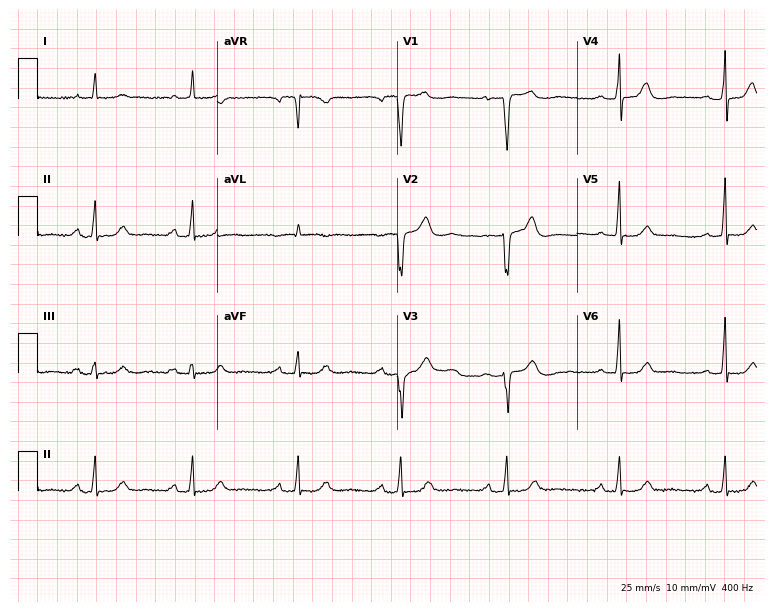
Electrocardiogram (7.3-second recording at 400 Hz), a 64-year-old female. Of the six screened findings (first-degree AV block, right bundle branch block, left bundle branch block, sinus bradycardia, atrial fibrillation, sinus tachycardia), none is recorded.